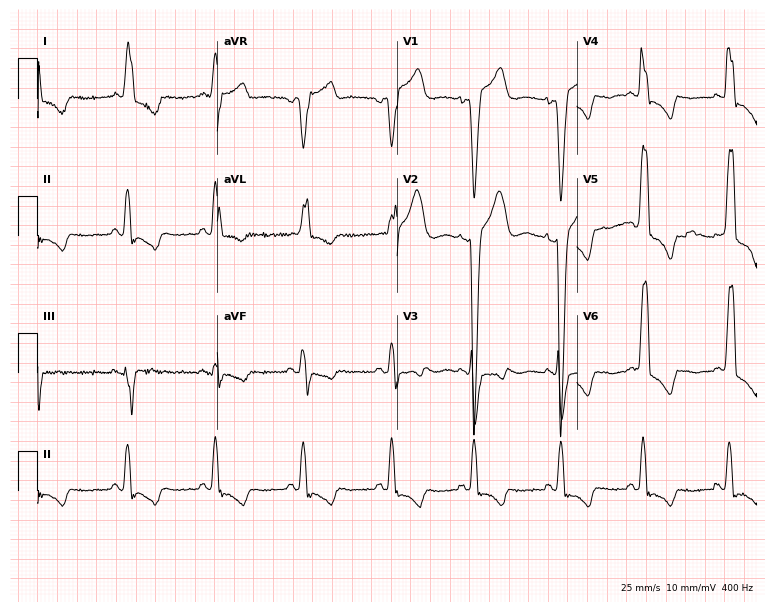
12-lead ECG from a woman, 60 years old. Shows left bundle branch block.